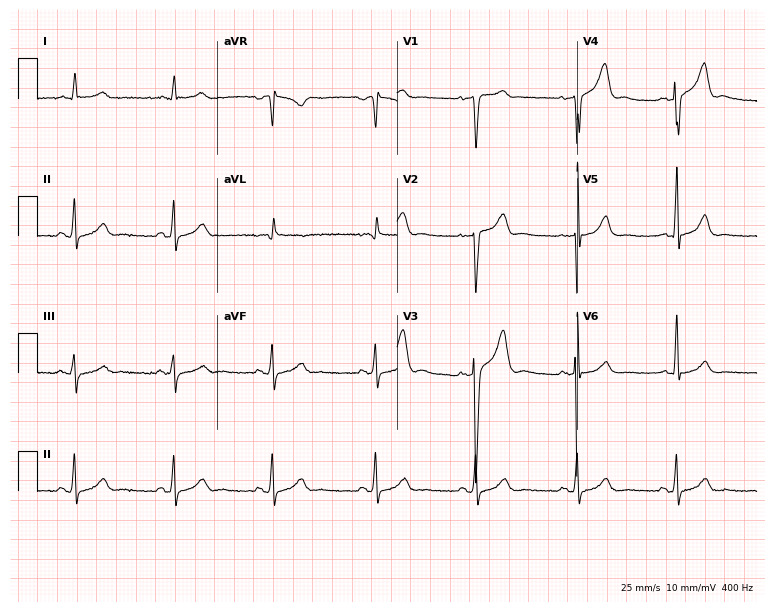
Standard 12-lead ECG recorded from a male patient, 46 years old. None of these six findings is recorded: first-degree AV block, right bundle branch block, left bundle branch block, sinus bradycardia, atrial fibrillation, sinus tachycardia. Other findings, if any, are not listed.